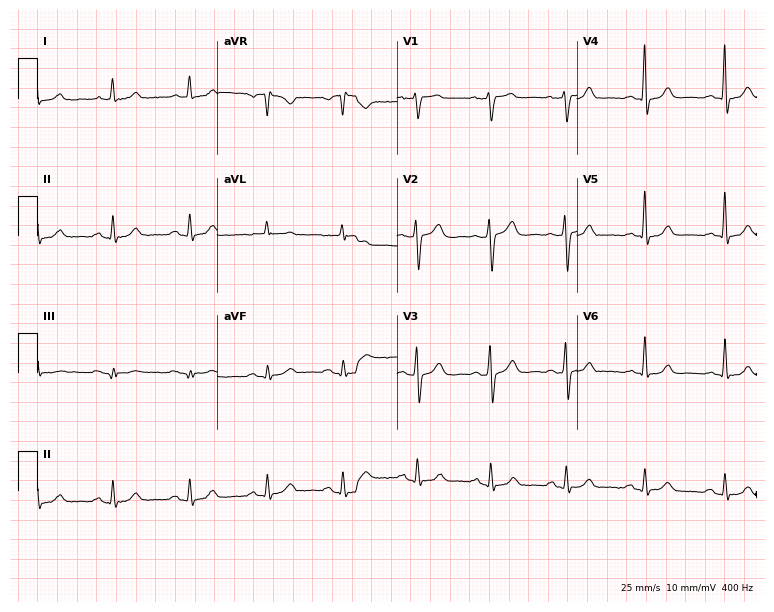
Resting 12-lead electrocardiogram. Patient: a man, 54 years old. None of these six findings is recorded: first-degree AV block, right bundle branch block, left bundle branch block, sinus bradycardia, atrial fibrillation, sinus tachycardia. Other findings, if any, are not listed.